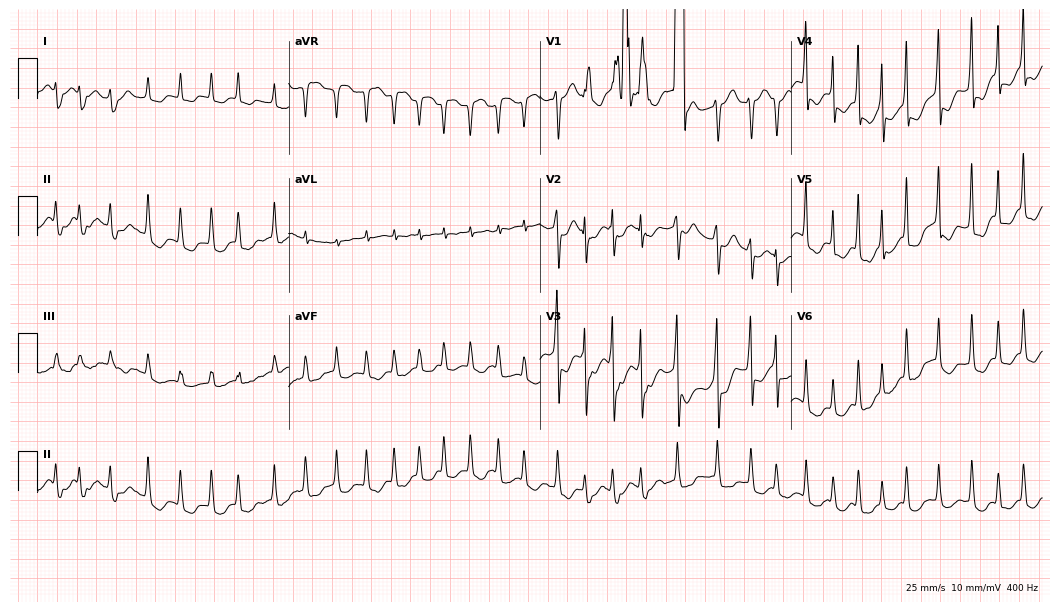
Electrocardiogram (10.2-second recording at 400 Hz), a man, 67 years old. Interpretation includes atrial fibrillation (AF).